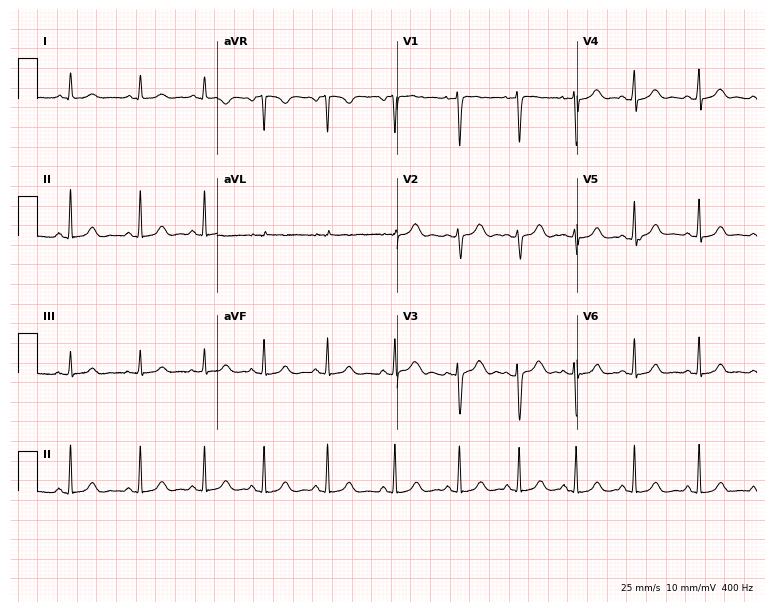
Resting 12-lead electrocardiogram (7.3-second recording at 400 Hz). Patient: a female, 22 years old. None of these six findings is recorded: first-degree AV block, right bundle branch block, left bundle branch block, sinus bradycardia, atrial fibrillation, sinus tachycardia. Other findings, if any, are not listed.